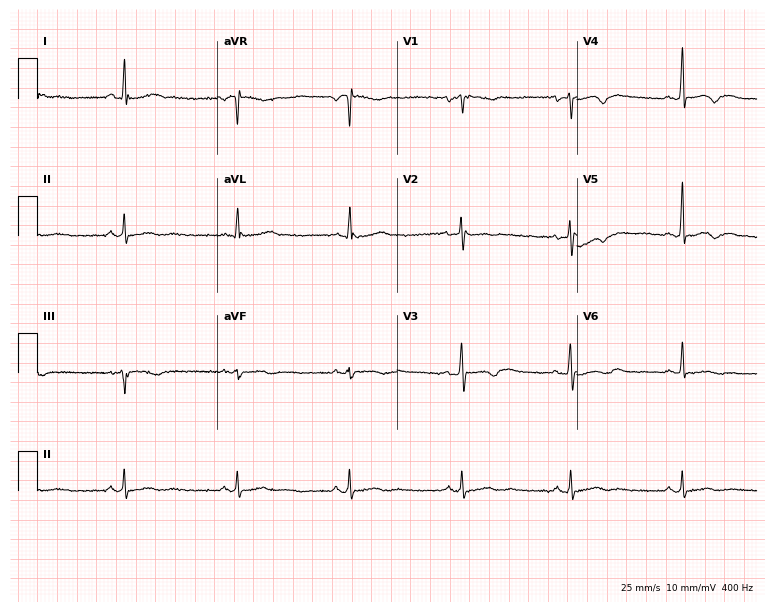
ECG — a 41-year-old man. Screened for six findings — first-degree AV block, right bundle branch block (RBBB), left bundle branch block (LBBB), sinus bradycardia, atrial fibrillation (AF), sinus tachycardia — none is recorded.